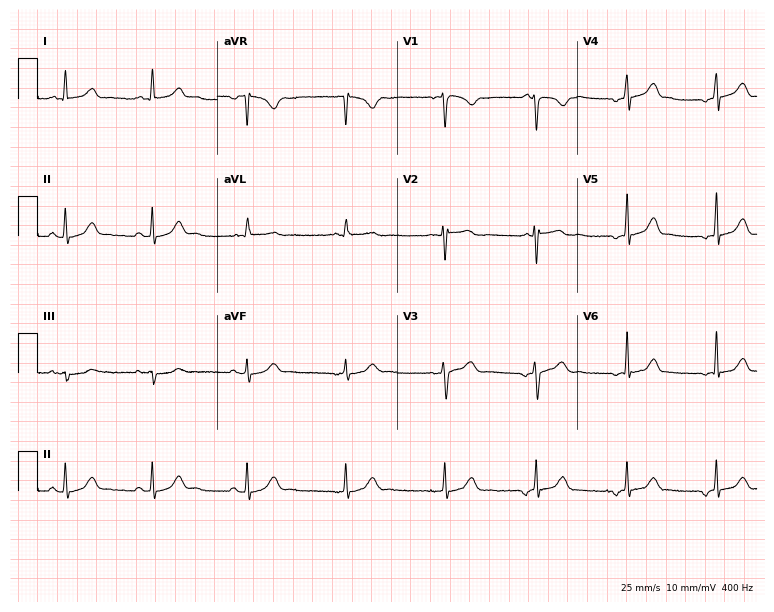
ECG — a female, 39 years old. Screened for six findings — first-degree AV block, right bundle branch block (RBBB), left bundle branch block (LBBB), sinus bradycardia, atrial fibrillation (AF), sinus tachycardia — none is recorded. Other findings, if any, are not listed.